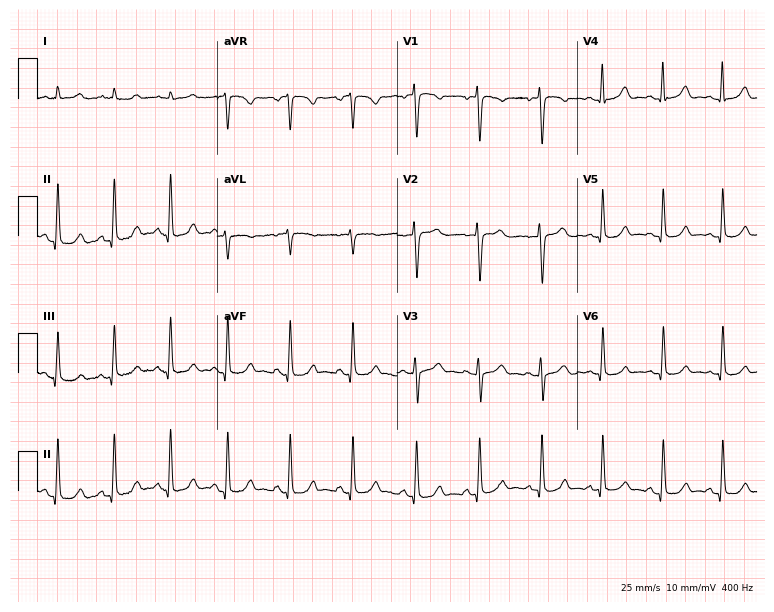
Standard 12-lead ECG recorded from a woman, 20 years old. Read as a normal ECG.